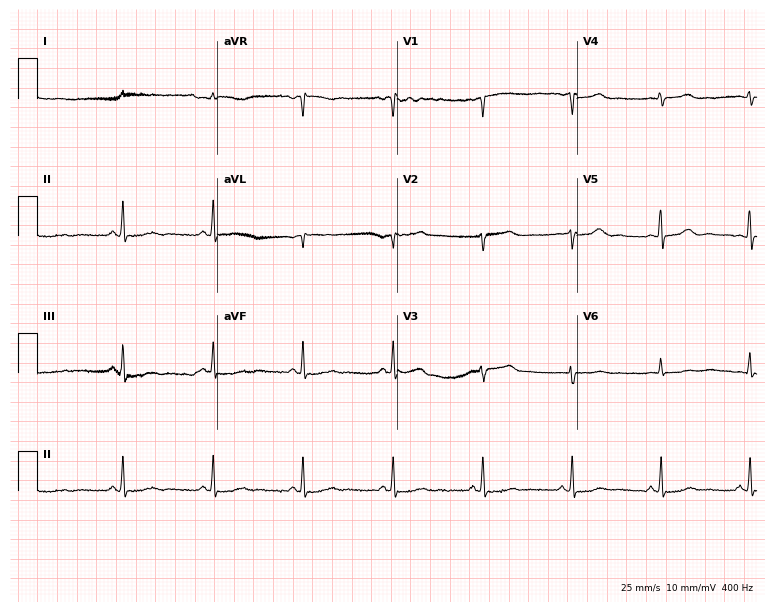
Standard 12-lead ECG recorded from a female, 47 years old. None of these six findings is recorded: first-degree AV block, right bundle branch block, left bundle branch block, sinus bradycardia, atrial fibrillation, sinus tachycardia. Findings outside these six are not listed.